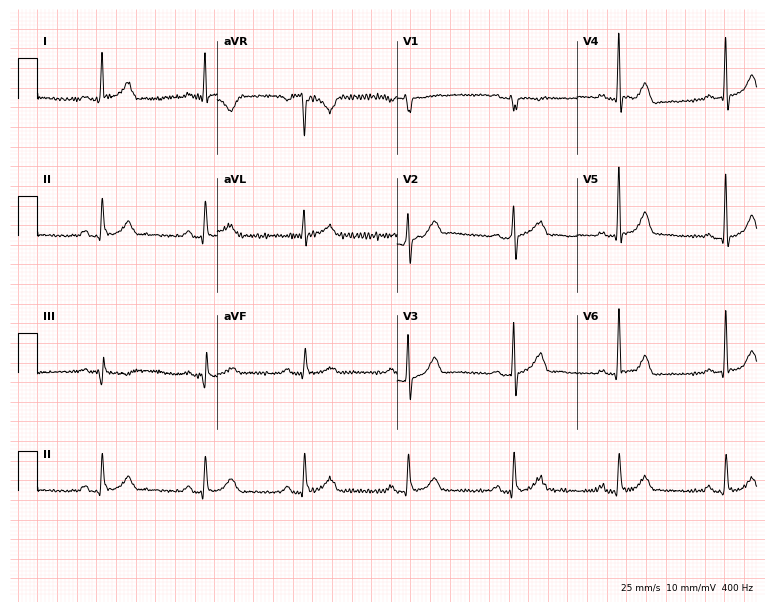
Electrocardiogram (7.3-second recording at 400 Hz), a male patient, 46 years old. Overall reading on record: normal ECG.